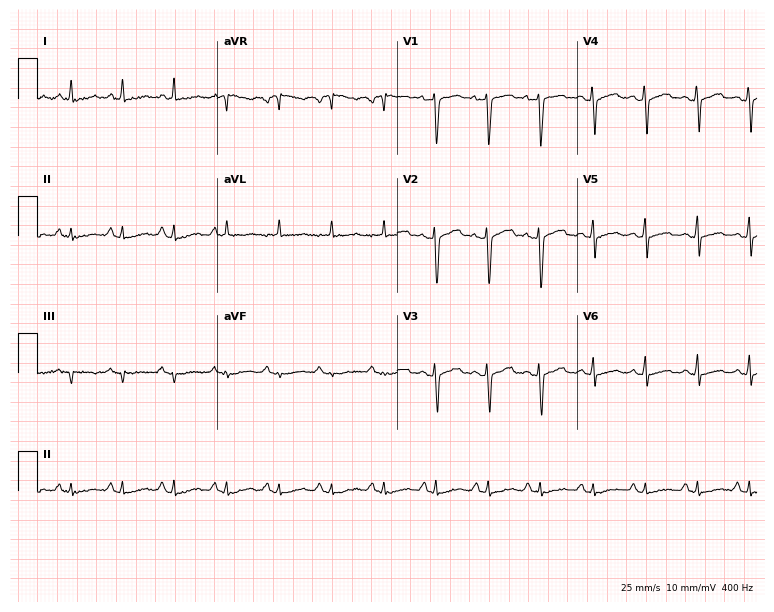
12-lead ECG from a female patient, 52 years old. Shows sinus tachycardia (a sinus rate of 100 beats per minute or more).